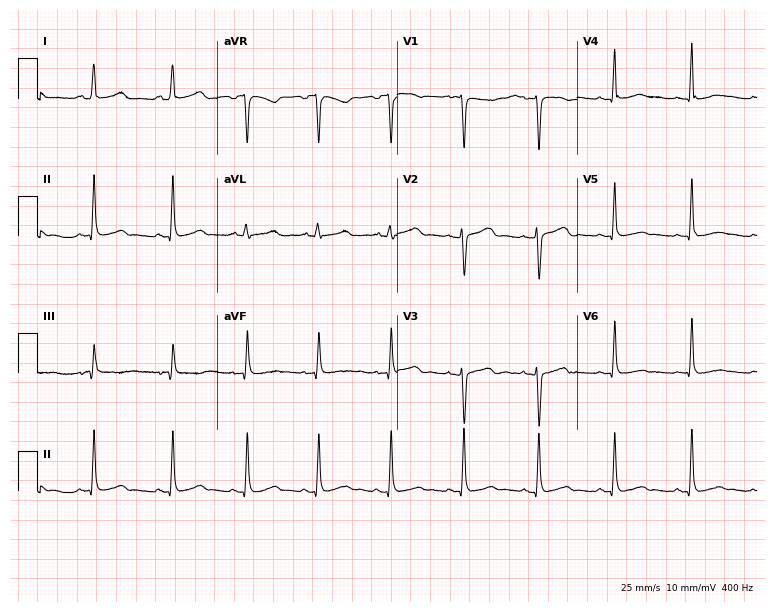
Electrocardiogram, a 30-year-old female patient. Of the six screened findings (first-degree AV block, right bundle branch block (RBBB), left bundle branch block (LBBB), sinus bradycardia, atrial fibrillation (AF), sinus tachycardia), none is recorded. Other findings, if any, are not listed.